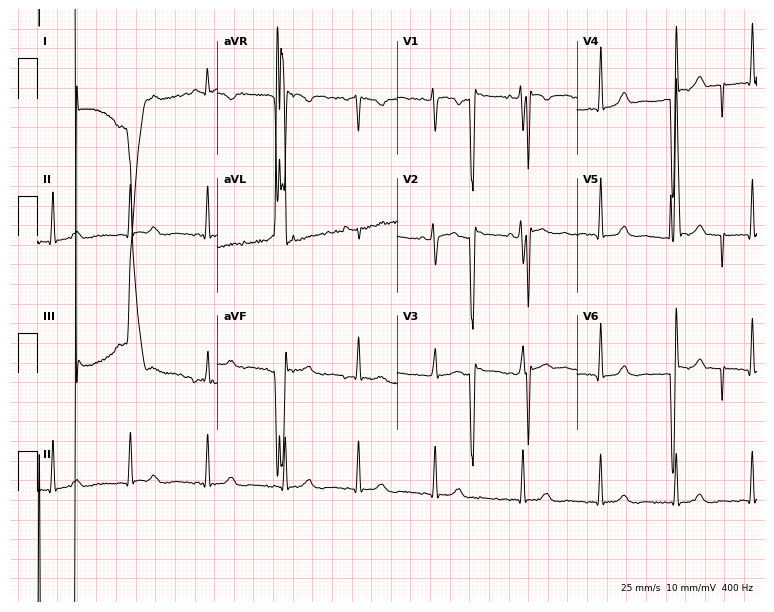
Resting 12-lead electrocardiogram. Patient: a female, 30 years old. None of these six findings is recorded: first-degree AV block, right bundle branch block, left bundle branch block, sinus bradycardia, atrial fibrillation, sinus tachycardia.